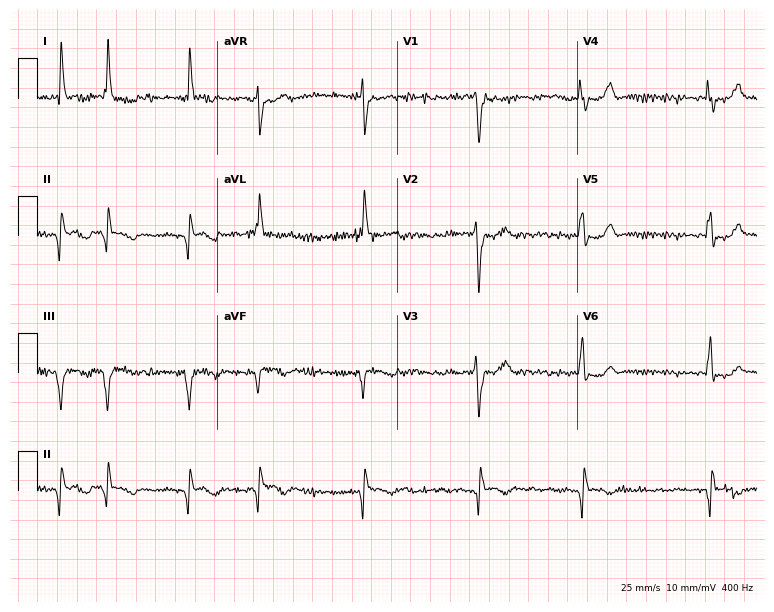
12-lead ECG (7.3-second recording at 400 Hz) from a female, 61 years old. Findings include atrial fibrillation.